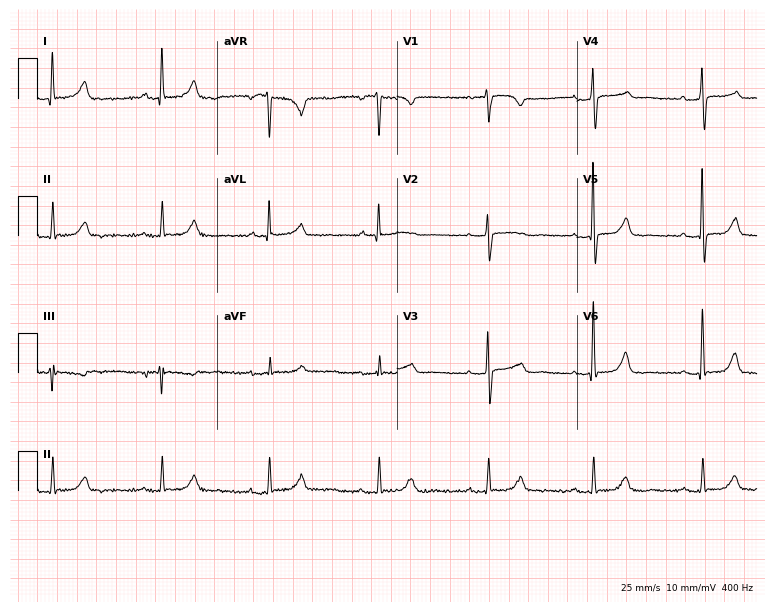
12-lead ECG from a female patient, 73 years old. Recorded interpretation: within normal limits.